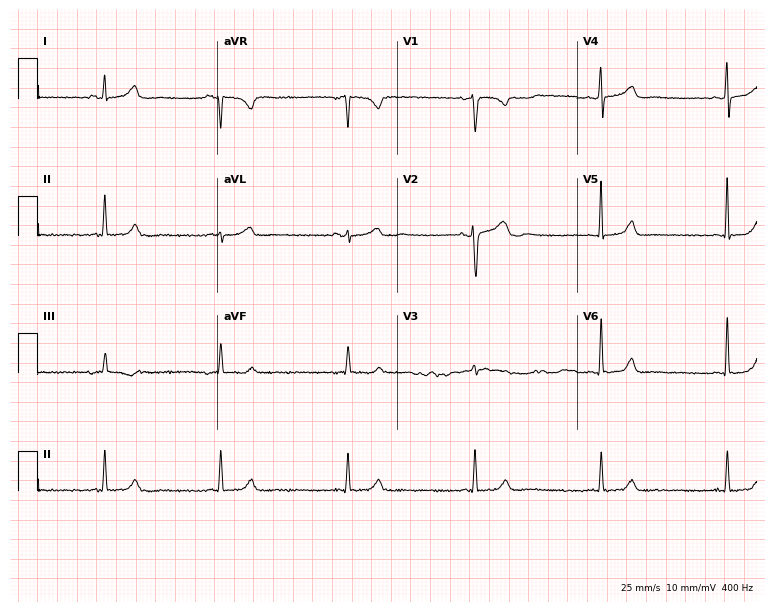
Resting 12-lead electrocardiogram (7.3-second recording at 400 Hz). Patient: a 33-year-old female. Read as a normal ECG.